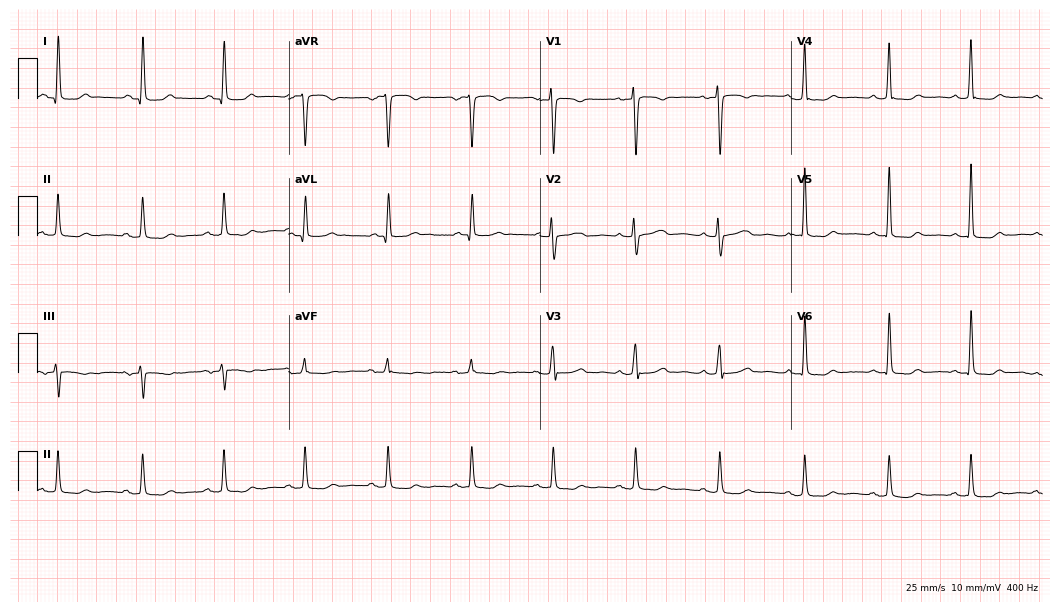
Electrocardiogram, a female, 51 years old. Of the six screened findings (first-degree AV block, right bundle branch block, left bundle branch block, sinus bradycardia, atrial fibrillation, sinus tachycardia), none is recorded.